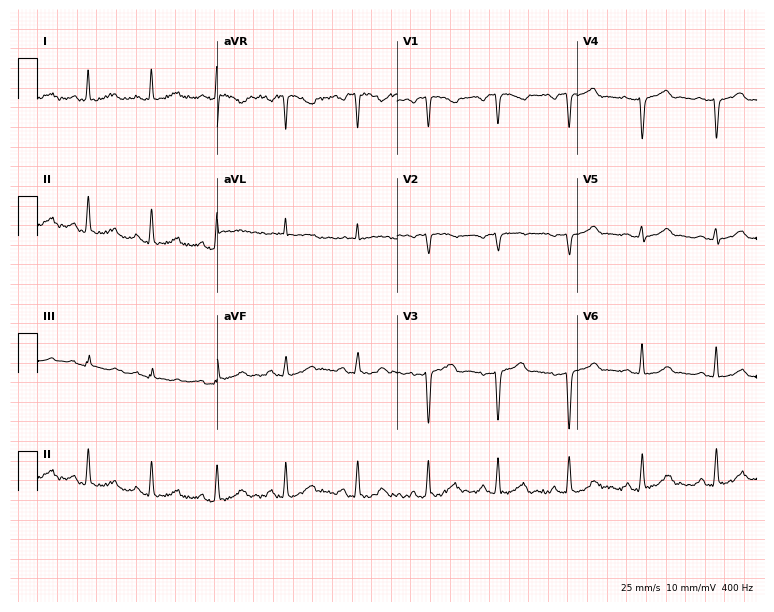
12-lead ECG from a 58-year-old female patient (7.3-second recording at 400 Hz). No first-degree AV block, right bundle branch block, left bundle branch block, sinus bradycardia, atrial fibrillation or sinus tachycardia recorded for this tracing. Other findings, if any, are not listed.